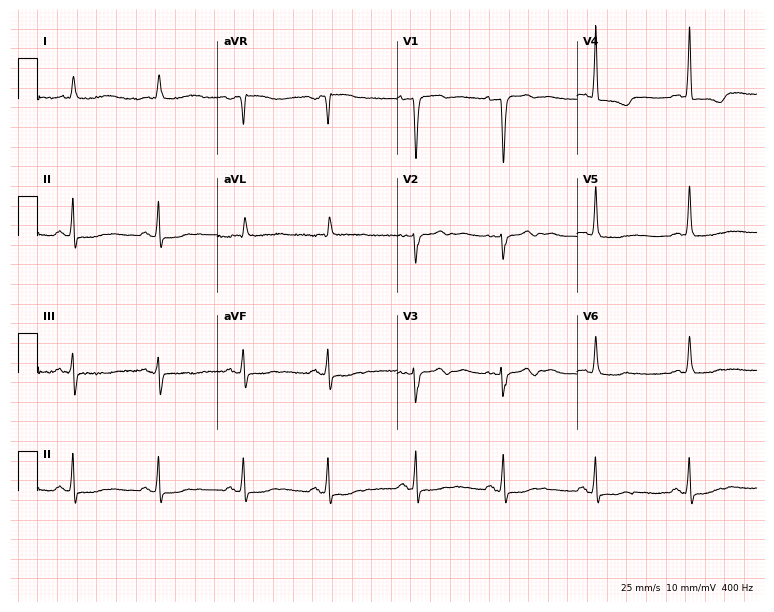
Standard 12-lead ECG recorded from a 62-year-old woman. Read as a normal ECG.